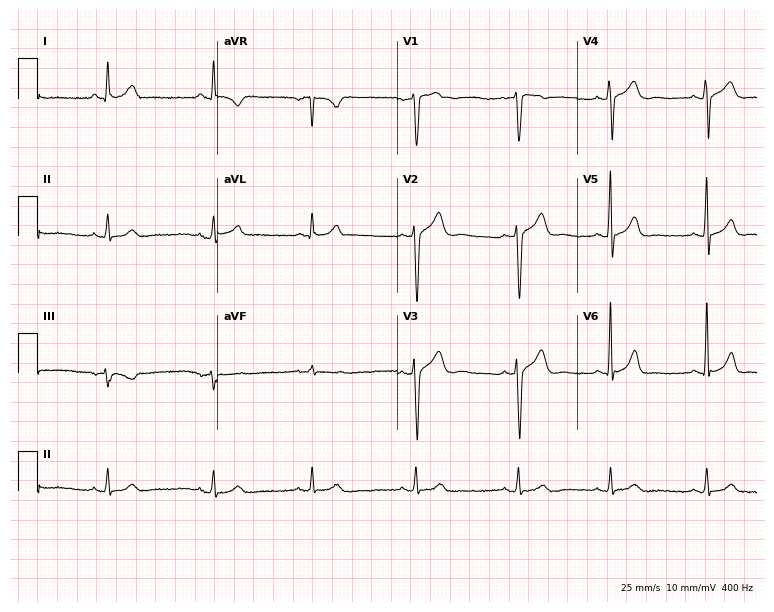
Standard 12-lead ECG recorded from a 44-year-old male patient. Read as a normal ECG.